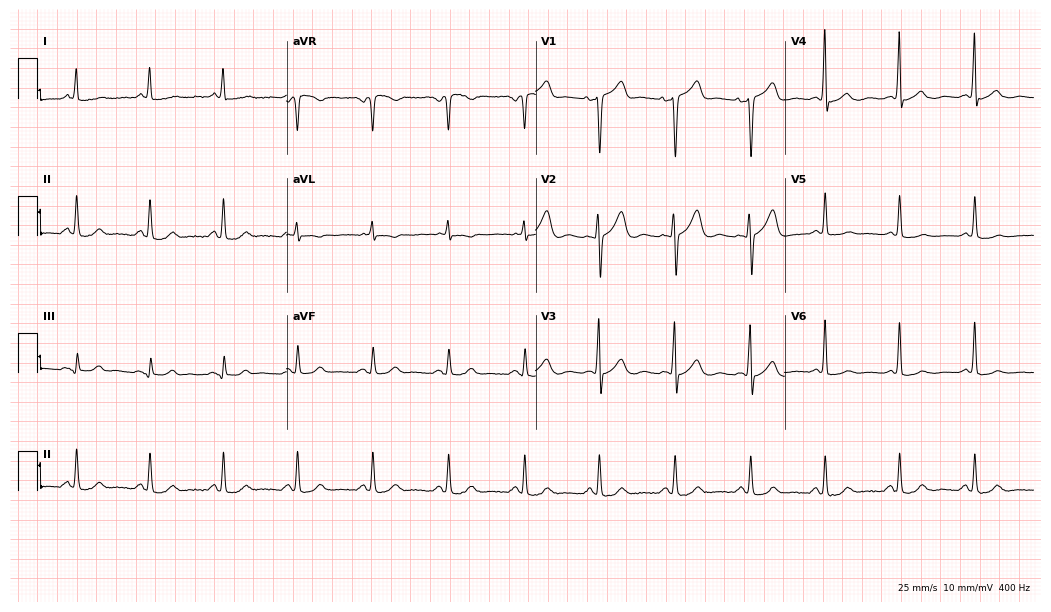
Electrocardiogram, a male patient, 72 years old. Of the six screened findings (first-degree AV block, right bundle branch block, left bundle branch block, sinus bradycardia, atrial fibrillation, sinus tachycardia), none is recorded. Other findings, if any, are not listed.